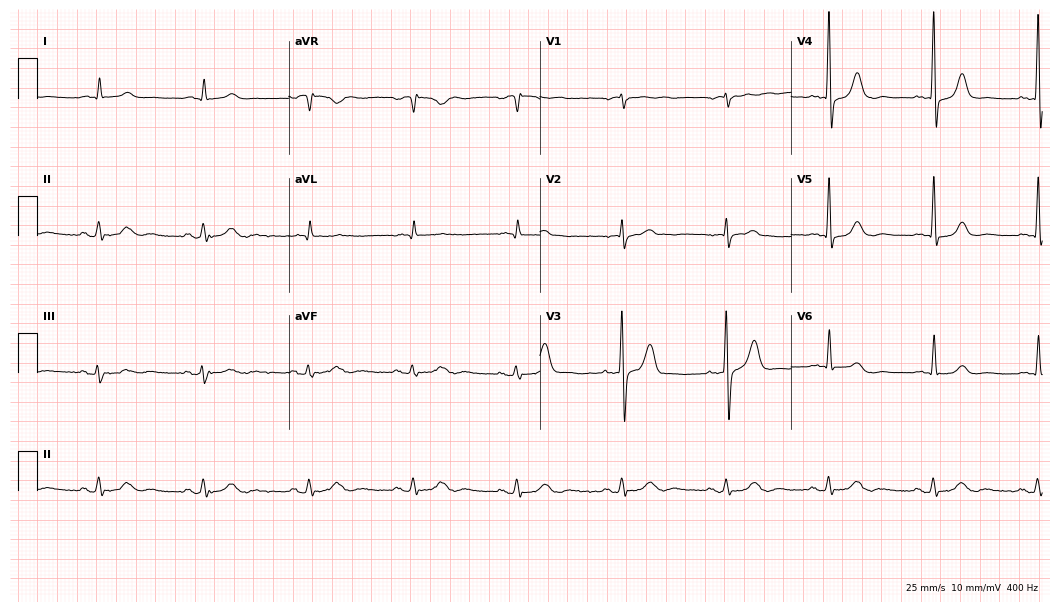
Standard 12-lead ECG recorded from a 79-year-old male (10.2-second recording at 400 Hz). None of these six findings is recorded: first-degree AV block, right bundle branch block (RBBB), left bundle branch block (LBBB), sinus bradycardia, atrial fibrillation (AF), sinus tachycardia.